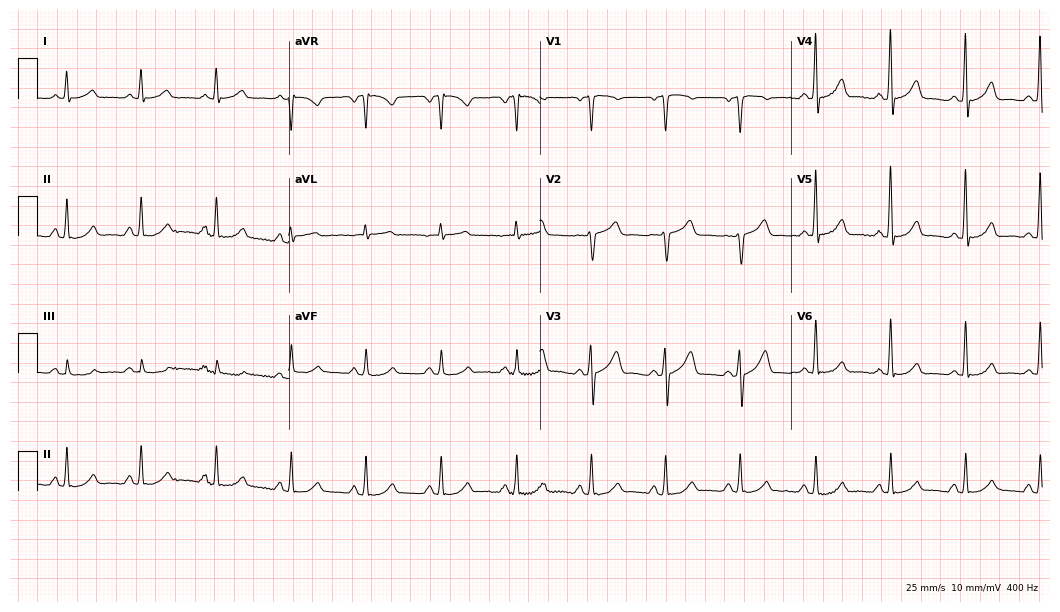
12-lead ECG from a 61-year-old man. Labelled as a normal ECG.